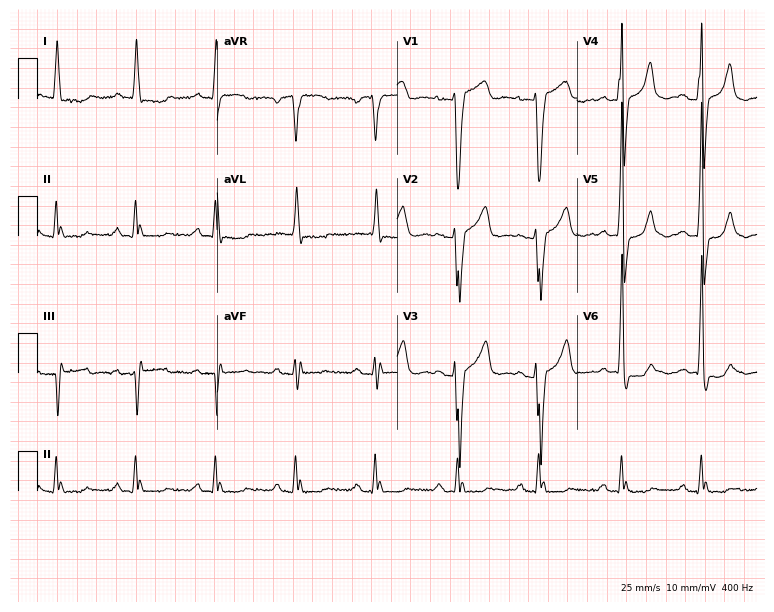
Standard 12-lead ECG recorded from a male, 78 years old (7.3-second recording at 400 Hz). None of these six findings is recorded: first-degree AV block, right bundle branch block (RBBB), left bundle branch block (LBBB), sinus bradycardia, atrial fibrillation (AF), sinus tachycardia. Other findings, if any, are not listed.